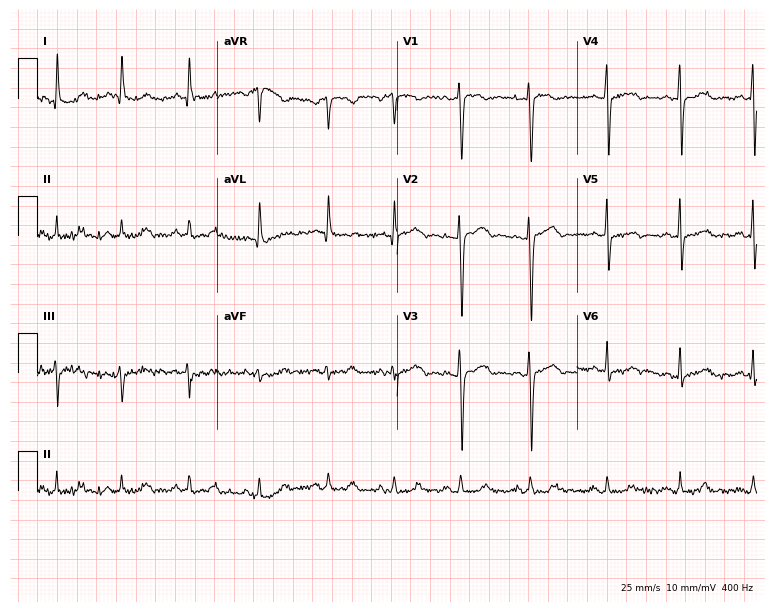
Electrocardiogram, a male, 35 years old. Of the six screened findings (first-degree AV block, right bundle branch block (RBBB), left bundle branch block (LBBB), sinus bradycardia, atrial fibrillation (AF), sinus tachycardia), none is recorded.